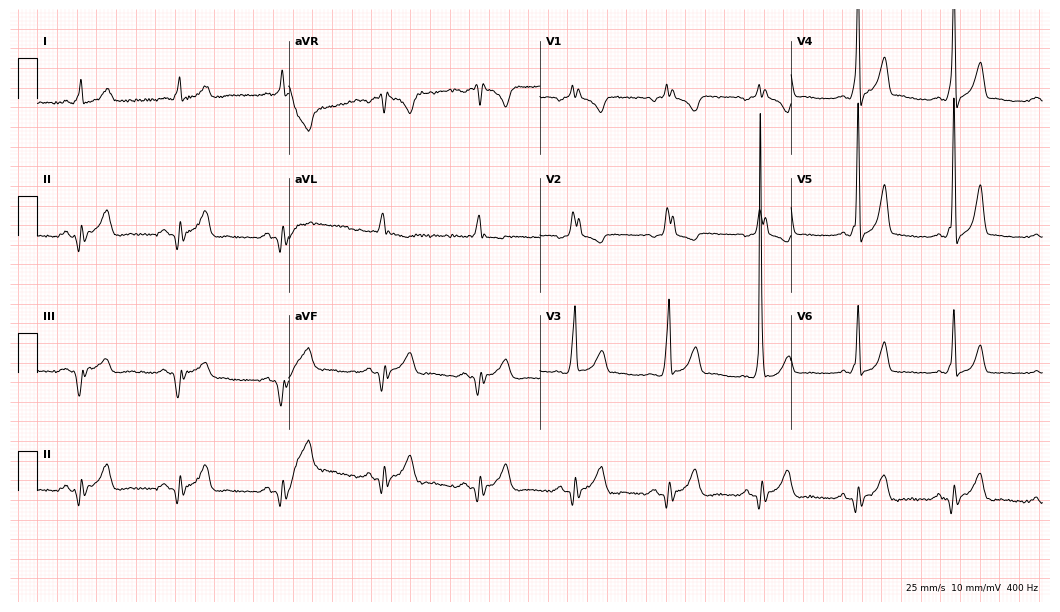
12-lead ECG from a 43-year-old male patient. Findings include right bundle branch block (RBBB).